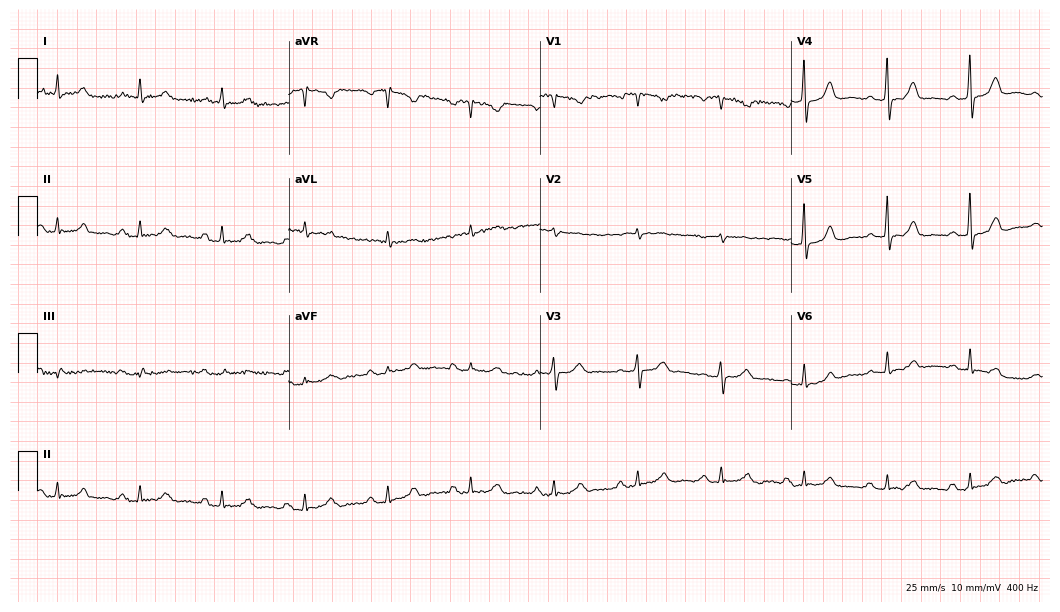
ECG — a male, 75 years old. Screened for six findings — first-degree AV block, right bundle branch block (RBBB), left bundle branch block (LBBB), sinus bradycardia, atrial fibrillation (AF), sinus tachycardia — none is recorded.